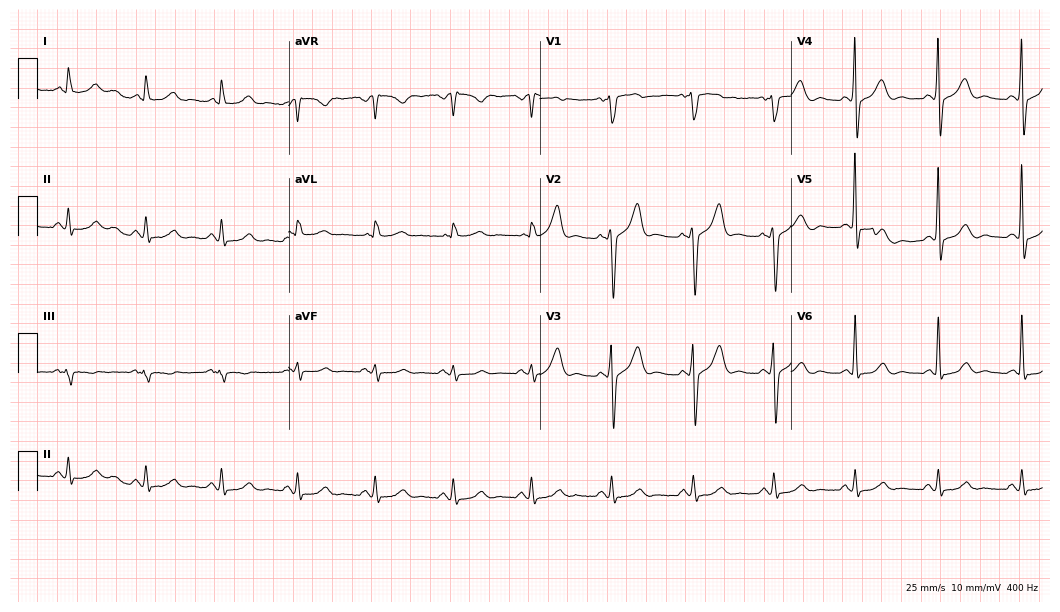
ECG — a 63-year-old male. Labelled as a normal ECG.